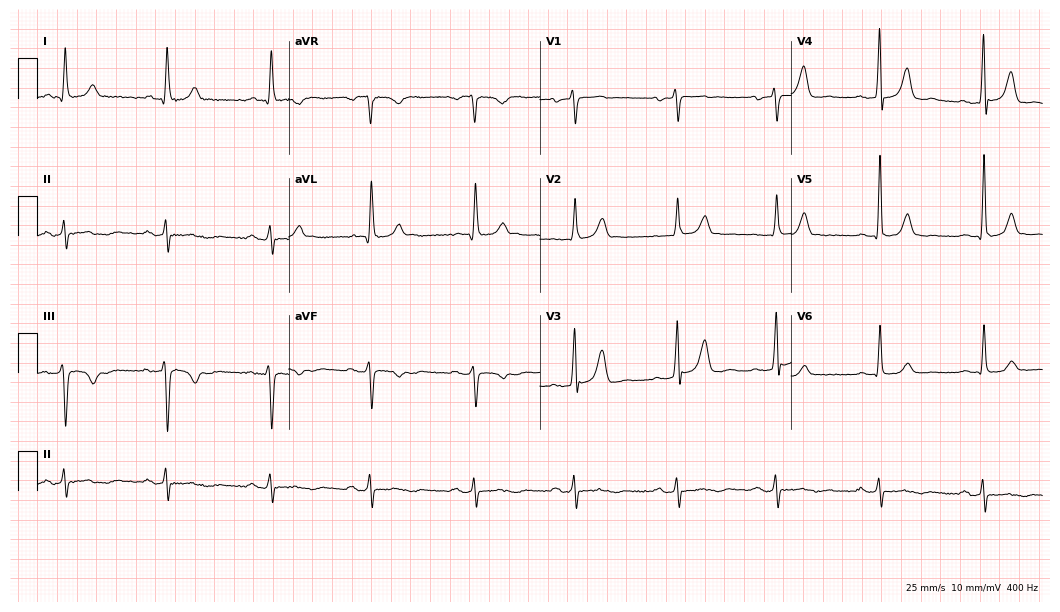
Resting 12-lead electrocardiogram (10.2-second recording at 400 Hz). Patient: a male, 62 years old. None of these six findings is recorded: first-degree AV block, right bundle branch block, left bundle branch block, sinus bradycardia, atrial fibrillation, sinus tachycardia. Only these six findings were labelled.